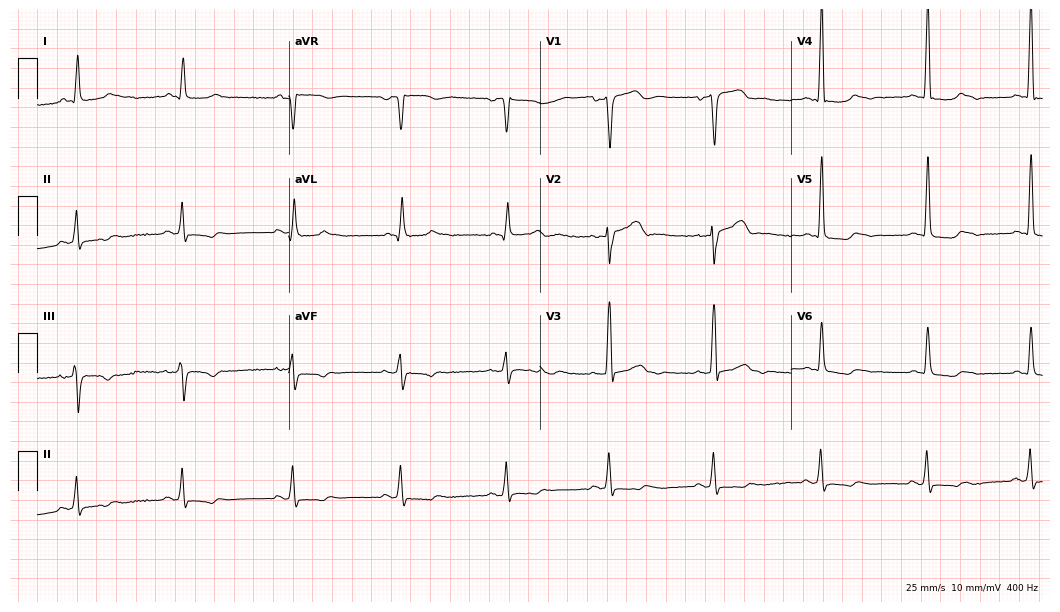
12-lead ECG from a 77-year-old male (10.2-second recording at 400 Hz). No first-degree AV block, right bundle branch block, left bundle branch block, sinus bradycardia, atrial fibrillation or sinus tachycardia recorded for this tracing. Other findings, if any, are not listed.